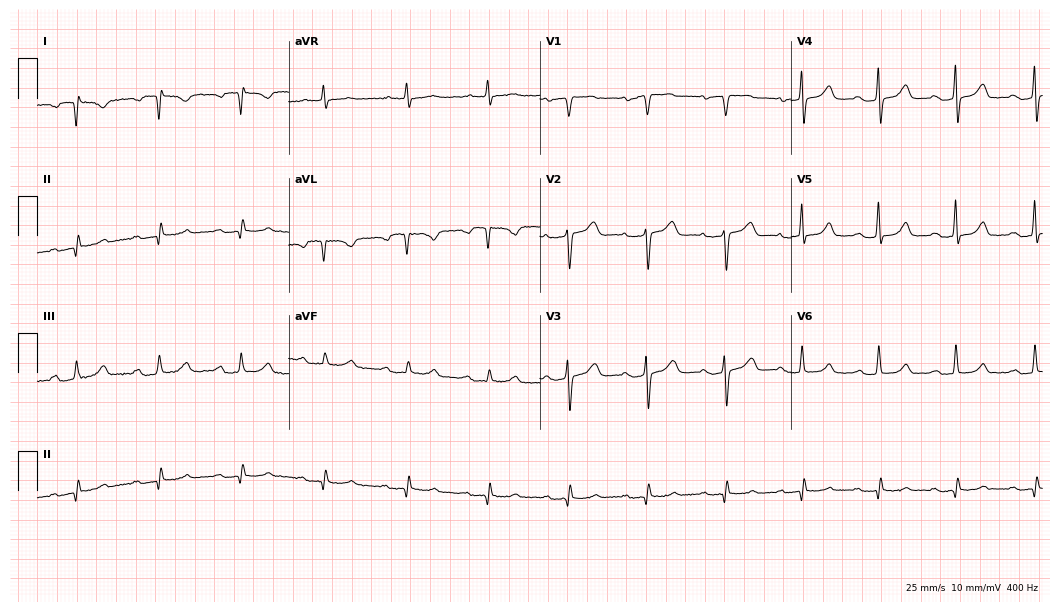
Electrocardiogram, a 61-year-old female patient. Of the six screened findings (first-degree AV block, right bundle branch block (RBBB), left bundle branch block (LBBB), sinus bradycardia, atrial fibrillation (AF), sinus tachycardia), none is recorded.